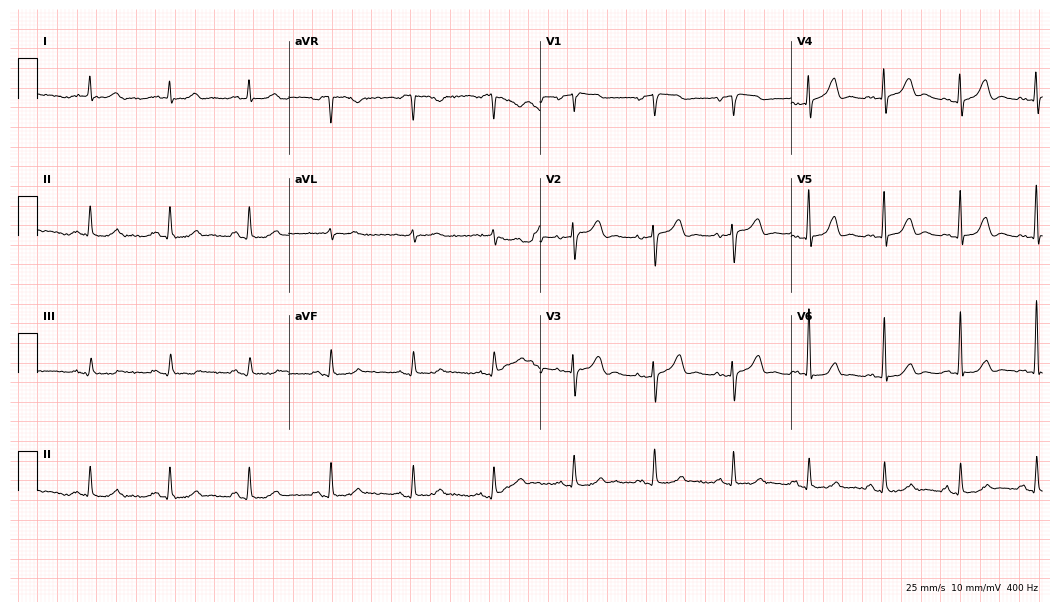
Resting 12-lead electrocardiogram (10.2-second recording at 400 Hz). Patient: a woman, 78 years old. Read as a normal ECG.